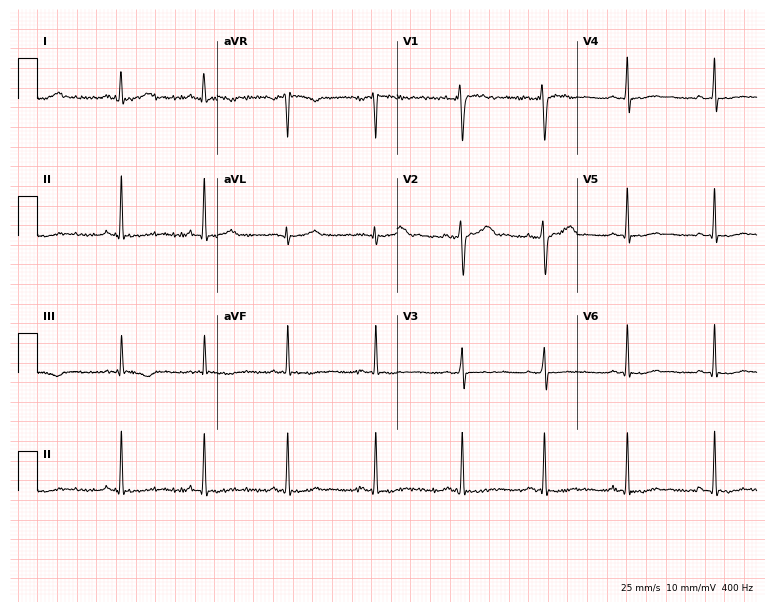
12-lead ECG (7.3-second recording at 400 Hz) from a 27-year-old female. Screened for six findings — first-degree AV block, right bundle branch block, left bundle branch block, sinus bradycardia, atrial fibrillation, sinus tachycardia — none is recorded. Only these six findings were labelled.